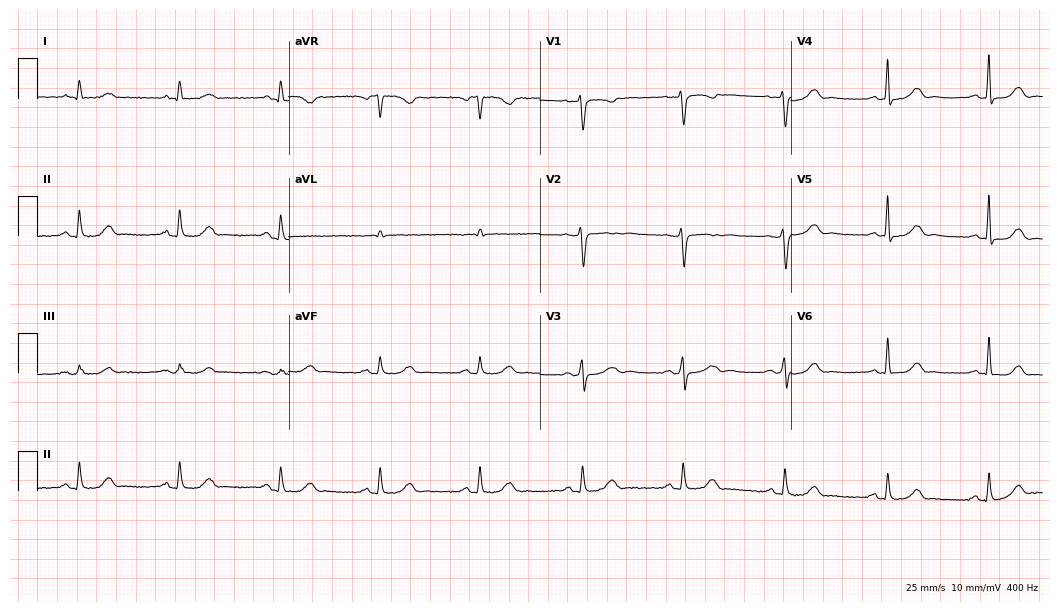
ECG — a female patient, 53 years old. Labelled as a normal ECG.